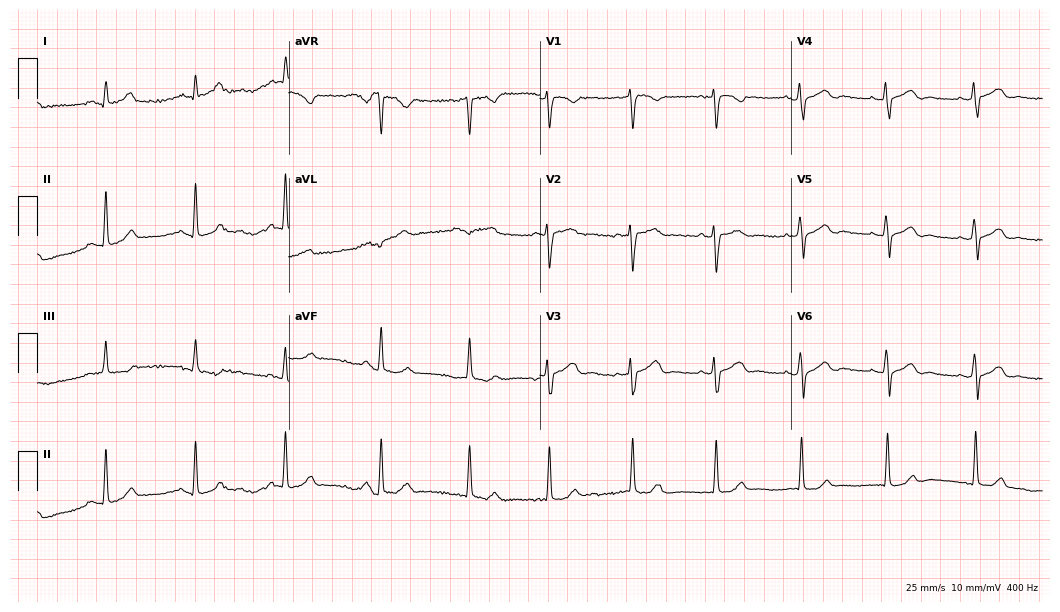
ECG (10.2-second recording at 400 Hz) — a female, 35 years old. Screened for six findings — first-degree AV block, right bundle branch block, left bundle branch block, sinus bradycardia, atrial fibrillation, sinus tachycardia — none is recorded.